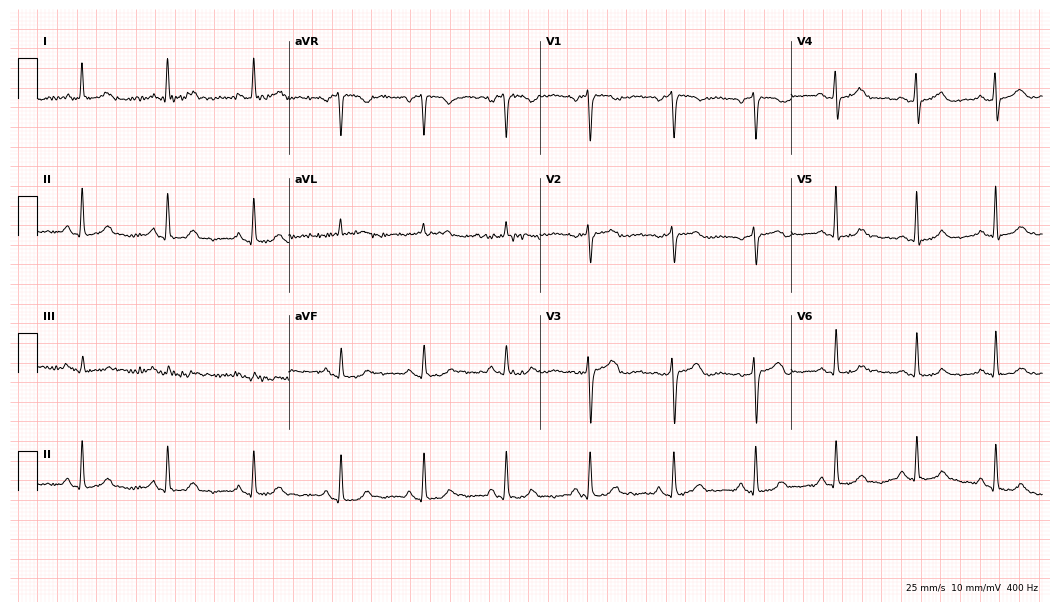
ECG — a 63-year-old female patient. Screened for six findings — first-degree AV block, right bundle branch block, left bundle branch block, sinus bradycardia, atrial fibrillation, sinus tachycardia — none is recorded.